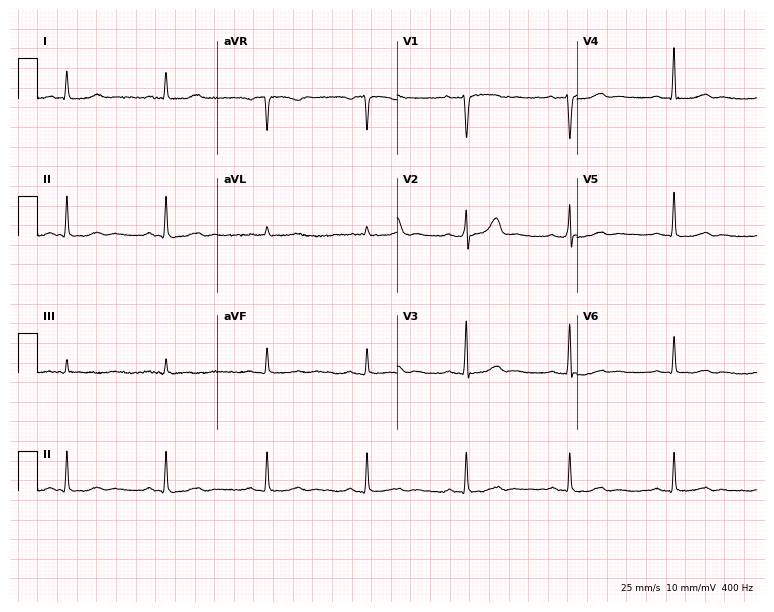
ECG (7.3-second recording at 400 Hz) — a 68-year-old woman. Screened for six findings — first-degree AV block, right bundle branch block, left bundle branch block, sinus bradycardia, atrial fibrillation, sinus tachycardia — none is recorded.